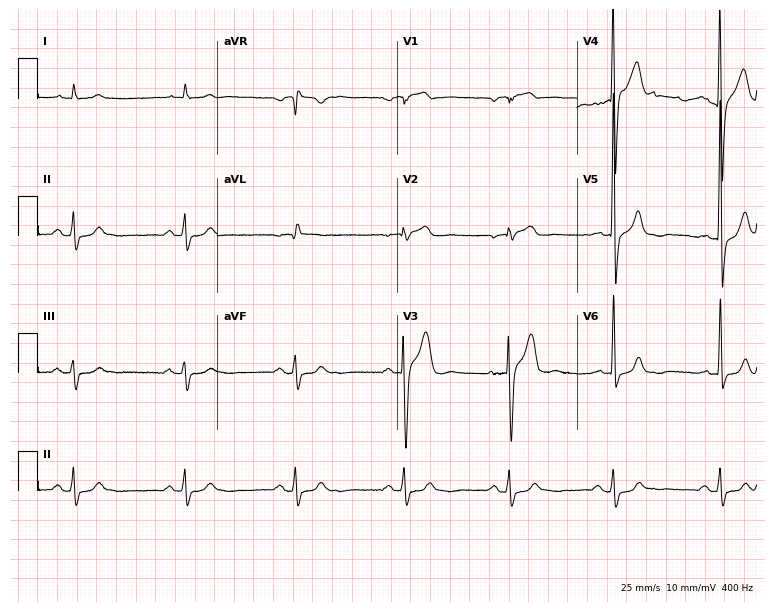
Electrocardiogram (7.3-second recording at 400 Hz), a male, 74 years old. Of the six screened findings (first-degree AV block, right bundle branch block (RBBB), left bundle branch block (LBBB), sinus bradycardia, atrial fibrillation (AF), sinus tachycardia), none is recorded. Other findings, if any, are not listed.